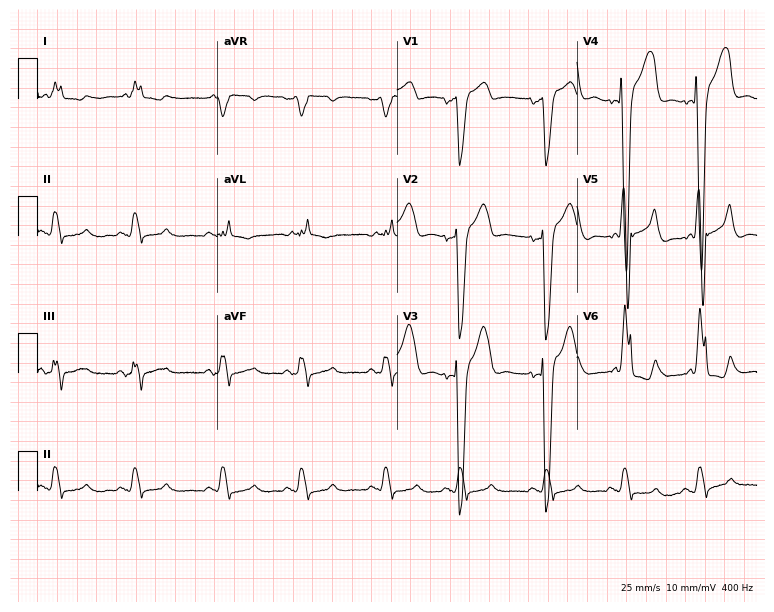
12-lead ECG from a male, 79 years old. Screened for six findings — first-degree AV block, right bundle branch block, left bundle branch block, sinus bradycardia, atrial fibrillation, sinus tachycardia — none is recorded.